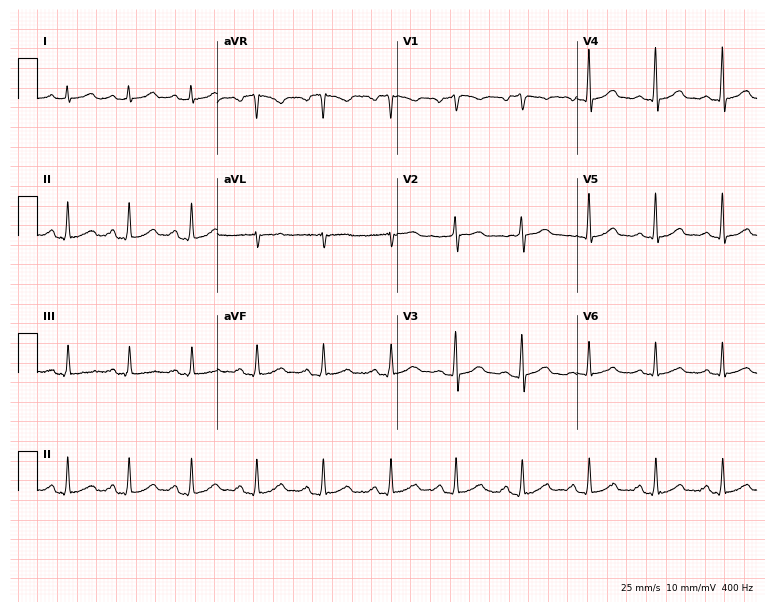
Standard 12-lead ECG recorded from a 43-year-old man. Read as a normal ECG.